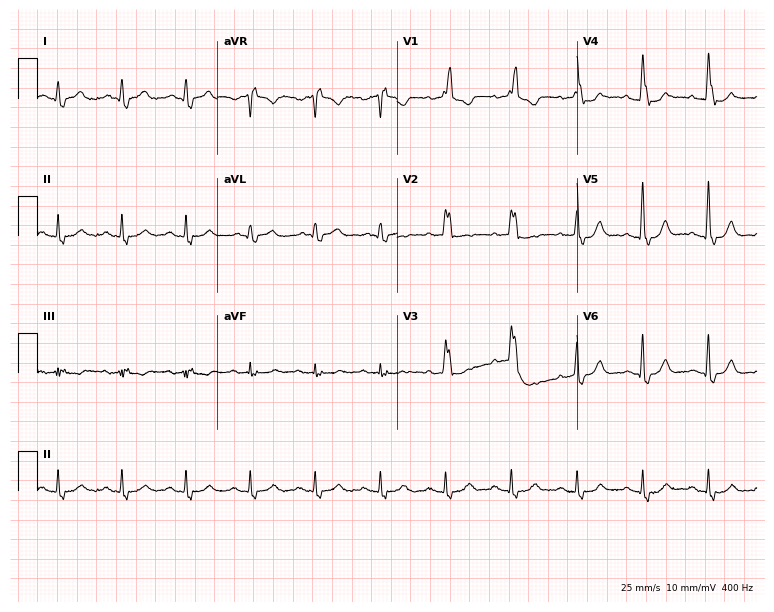
Standard 12-lead ECG recorded from an 83-year-old male (7.3-second recording at 400 Hz). The tracing shows right bundle branch block.